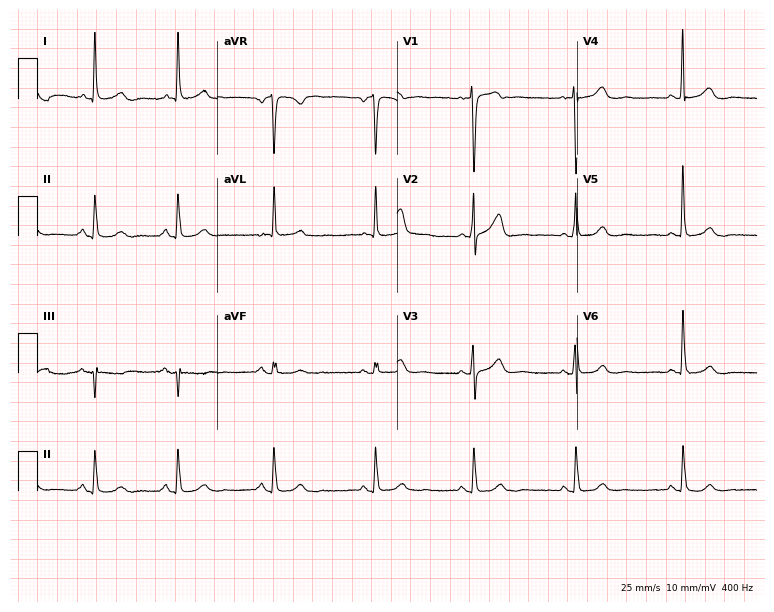
12-lead ECG from a 62-year-old woman. Labelled as a normal ECG.